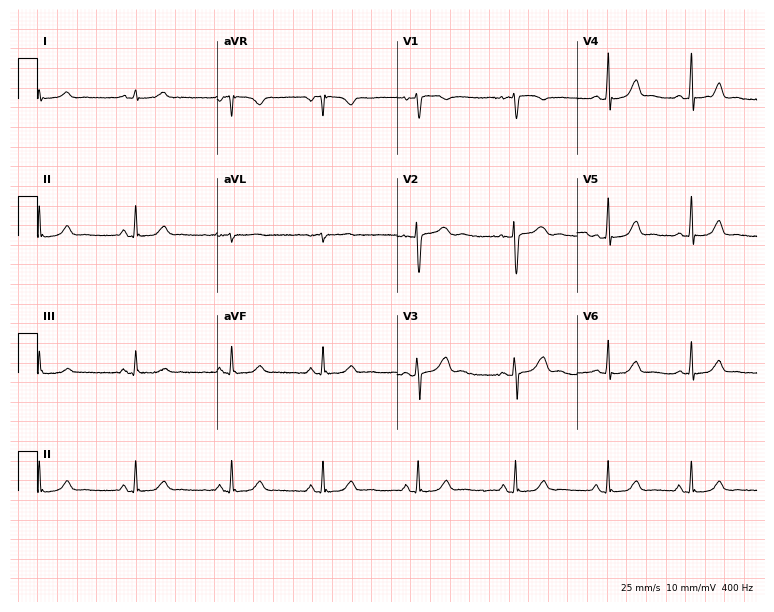
12-lead ECG from a 34-year-old female patient (7.3-second recording at 400 Hz). Recorded interpretation: within normal limits.